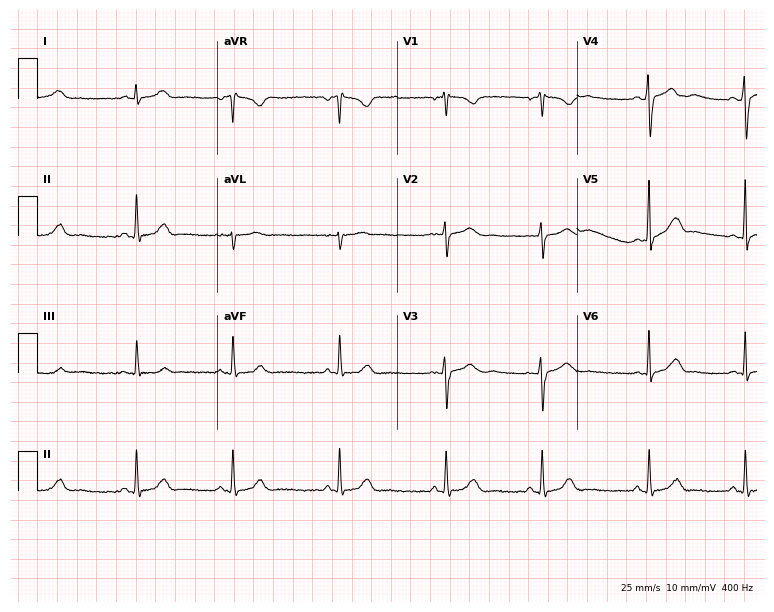
12-lead ECG (7.3-second recording at 400 Hz) from a woman, 18 years old. Labelled as a normal ECG.